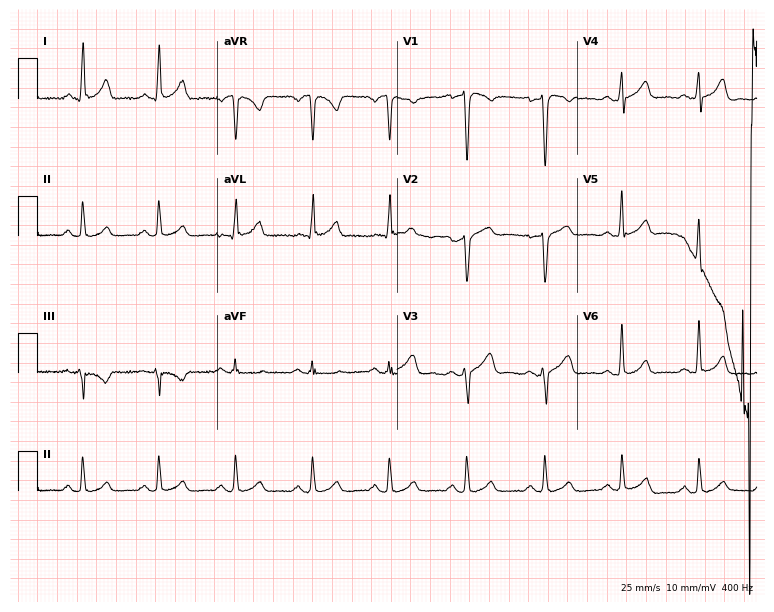
12-lead ECG from a male patient, 48 years old. Labelled as a normal ECG.